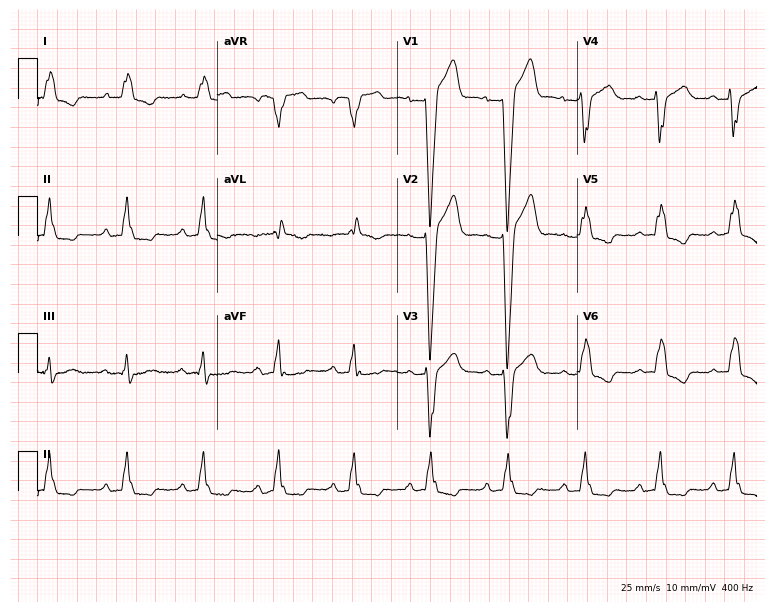
Standard 12-lead ECG recorded from a male, 84 years old (7.3-second recording at 400 Hz). None of these six findings is recorded: first-degree AV block, right bundle branch block, left bundle branch block, sinus bradycardia, atrial fibrillation, sinus tachycardia.